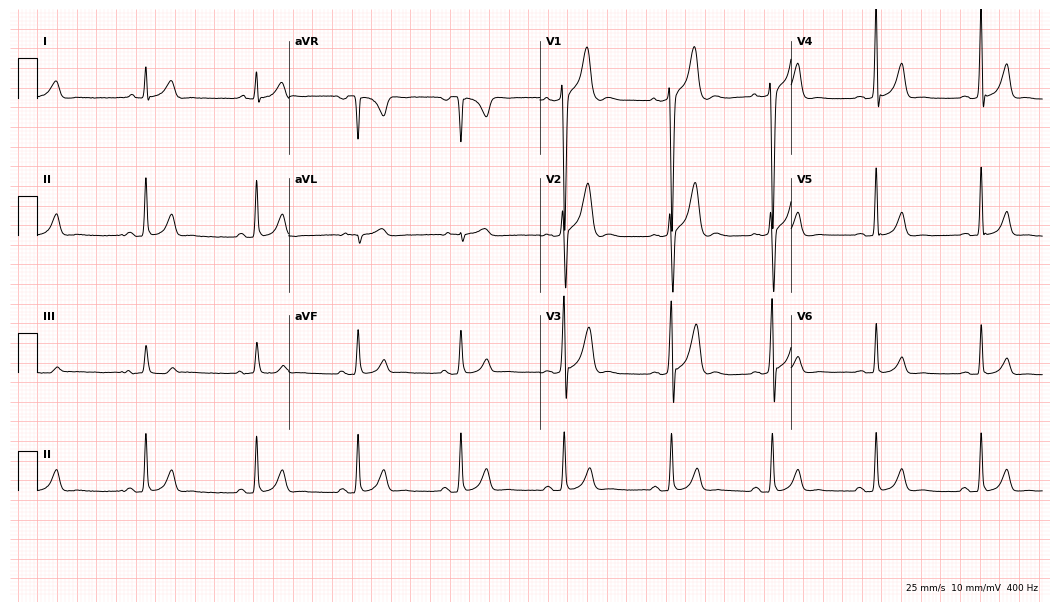
Electrocardiogram (10.2-second recording at 400 Hz), a man, 19 years old. Of the six screened findings (first-degree AV block, right bundle branch block (RBBB), left bundle branch block (LBBB), sinus bradycardia, atrial fibrillation (AF), sinus tachycardia), none is recorded.